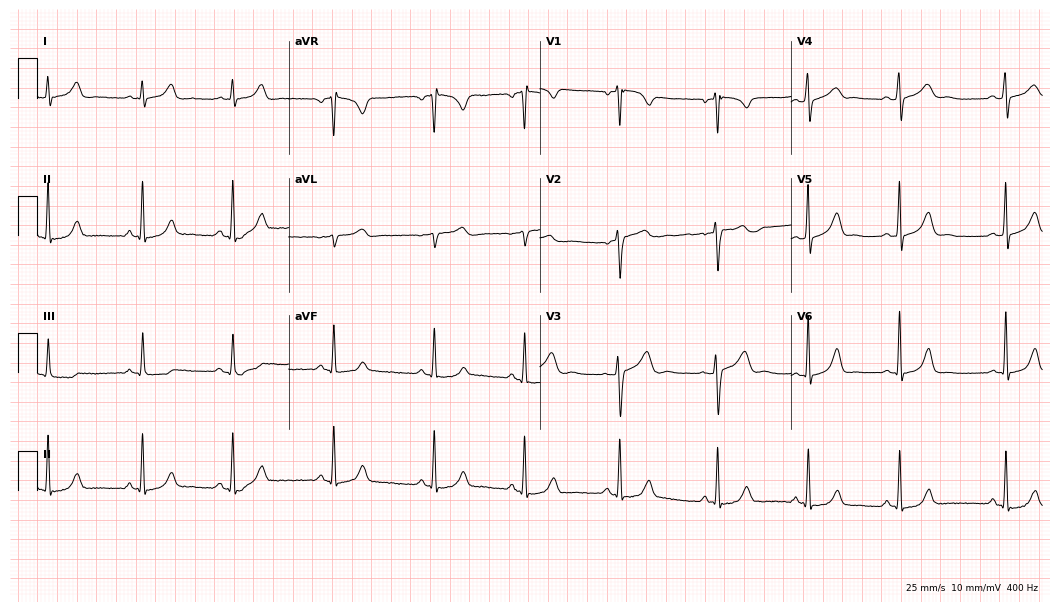
Standard 12-lead ECG recorded from a female, 26 years old. Read as a normal ECG.